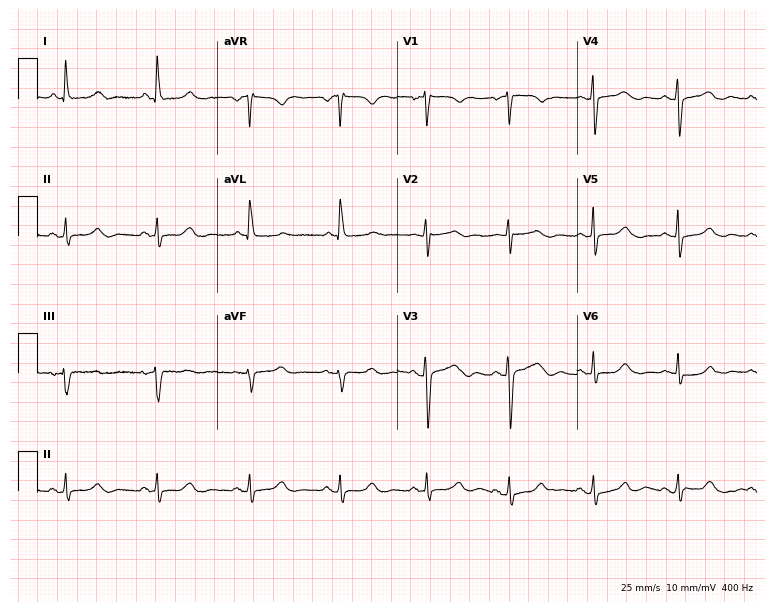
Electrocardiogram (7.3-second recording at 400 Hz), a woman, 48 years old. Of the six screened findings (first-degree AV block, right bundle branch block (RBBB), left bundle branch block (LBBB), sinus bradycardia, atrial fibrillation (AF), sinus tachycardia), none is recorded. Other findings, if any, are not listed.